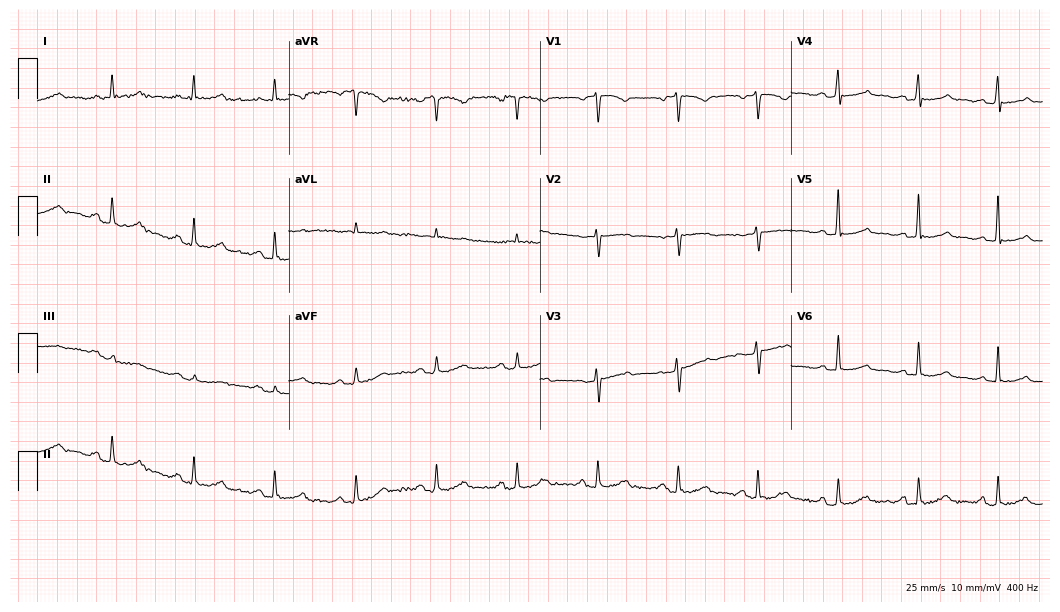
ECG — a woman, 57 years old. Screened for six findings — first-degree AV block, right bundle branch block, left bundle branch block, sinus bradycardia, atrial fibrillation, sinus tachycardia — none is recorded. Other findings, if any, are not listed.